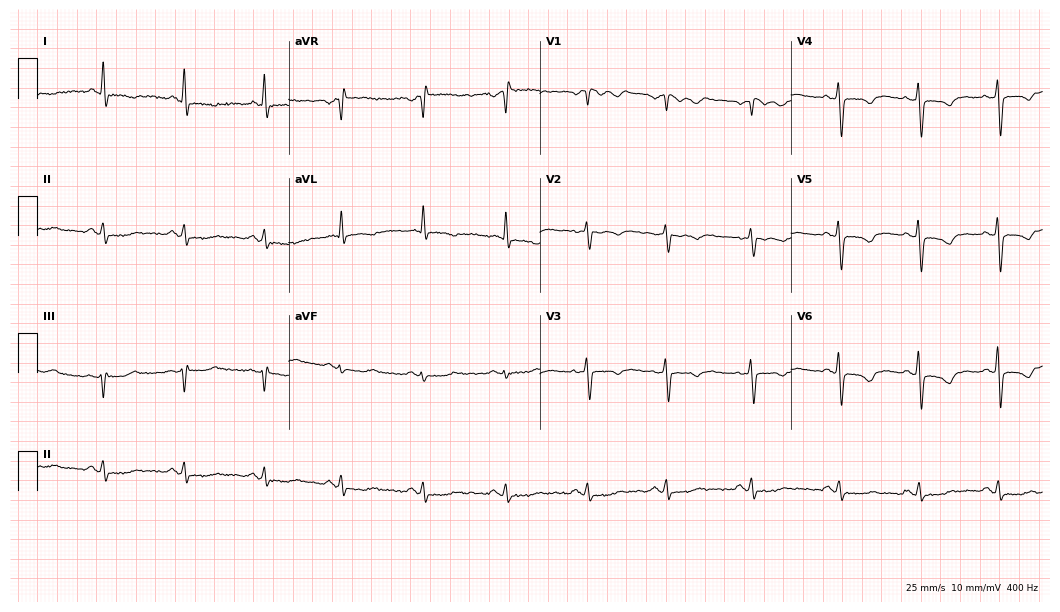
Electrocardiogram, a woman, 60 years old. Of the six screened findings (first-degree AV block, right bundle branch block, left bundle branch block, sinus bradycardia, atrial fibrillation, sinus tachycardia), none is recorded.